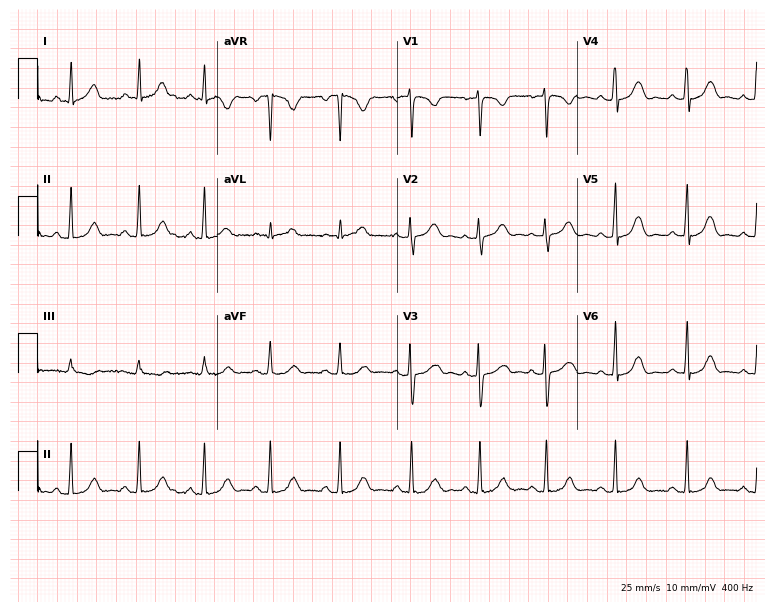
Standard 12-lead ECG recorded from a female, 26 years old. None of these six findings is recorded: first-degree AV block, right bundle branch block (RBBB), left bundle branch block (LBBB), sinus bradycardia, atrial fibrillation (AF), sinus tachycardia.